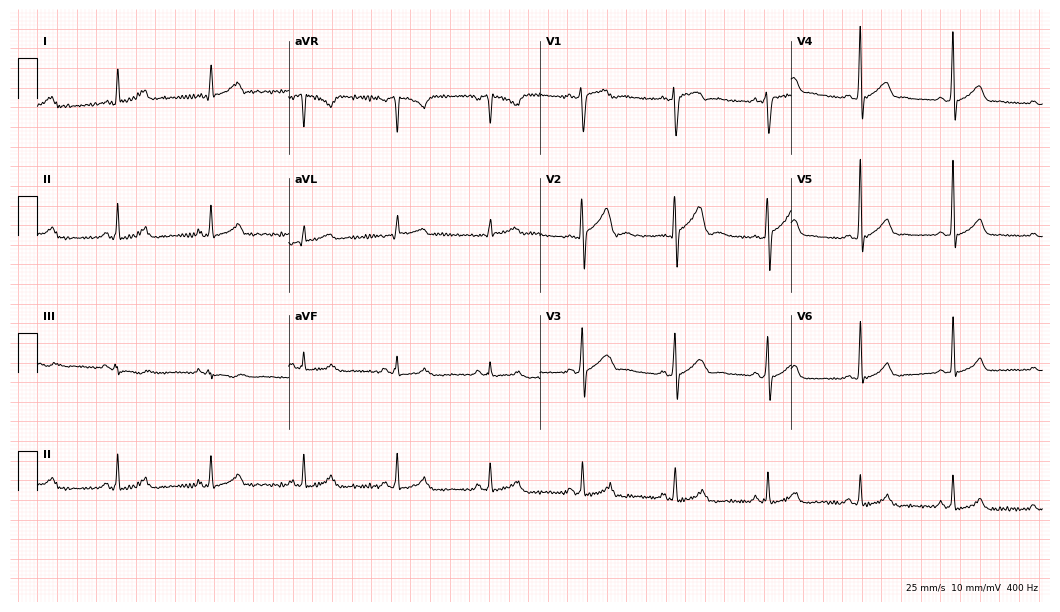
Electrocardiogram (10.2-second recording at 400 Hz), a 20-year-old male. Overall reading on record: normal ECG.